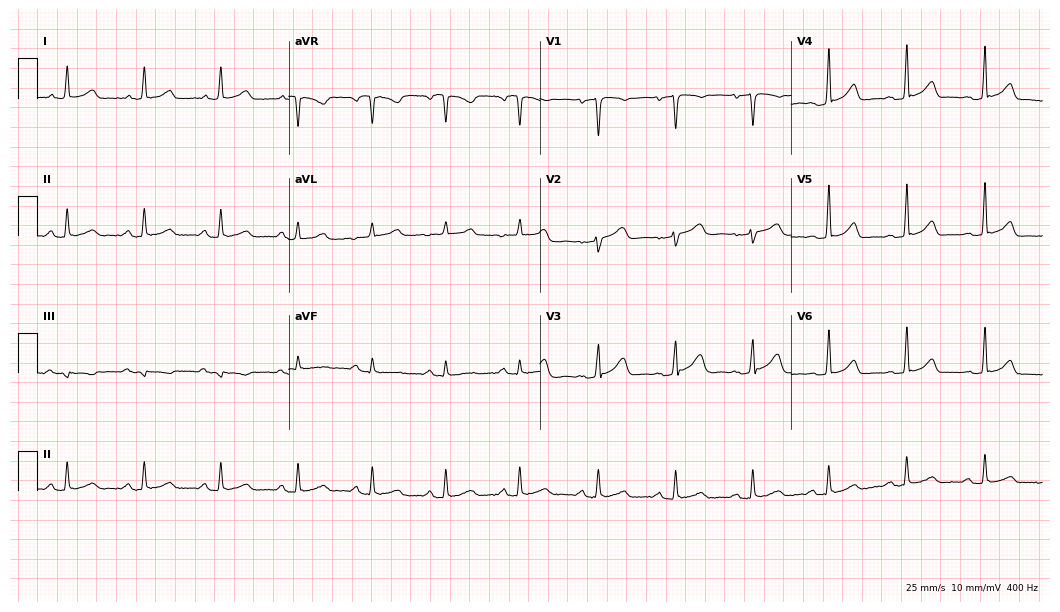
Resting 12-lead electrocardiogram (10.2-second recording at 400 Hz). Patient: a female, 44 years old. Read as a normal ECG.